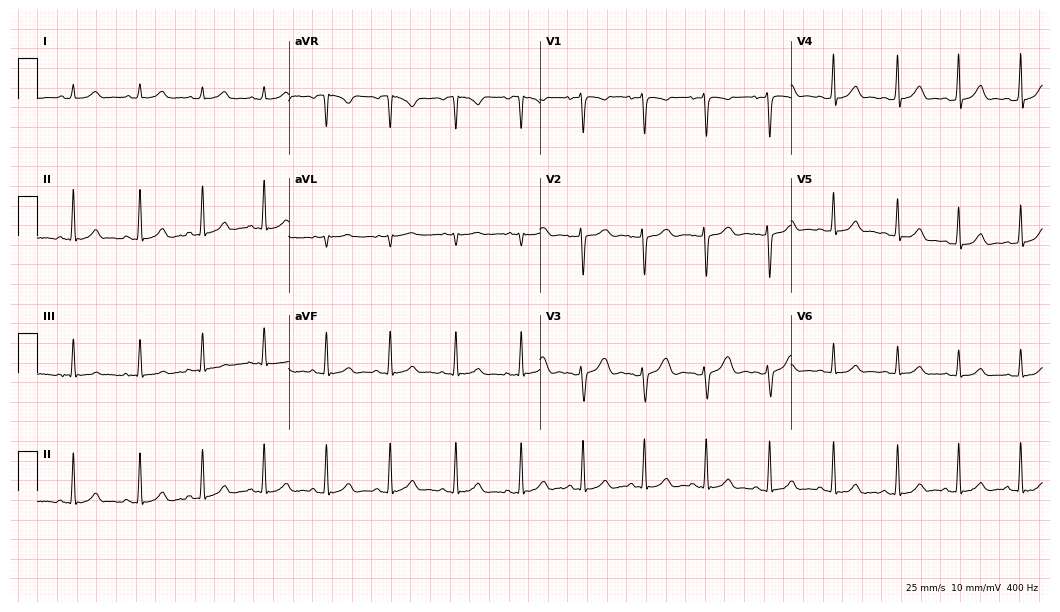
Electrocardiogram (10.2-second recording at 400 Hz), a 20-year-old female. Of the six screened findings (first-degree AV block, right bundle branch block (RBBB), left bundle branch block (LBBB), sinus bradycardia, atrial fibrillation (AF), sinus tachycardia), none is recorded.